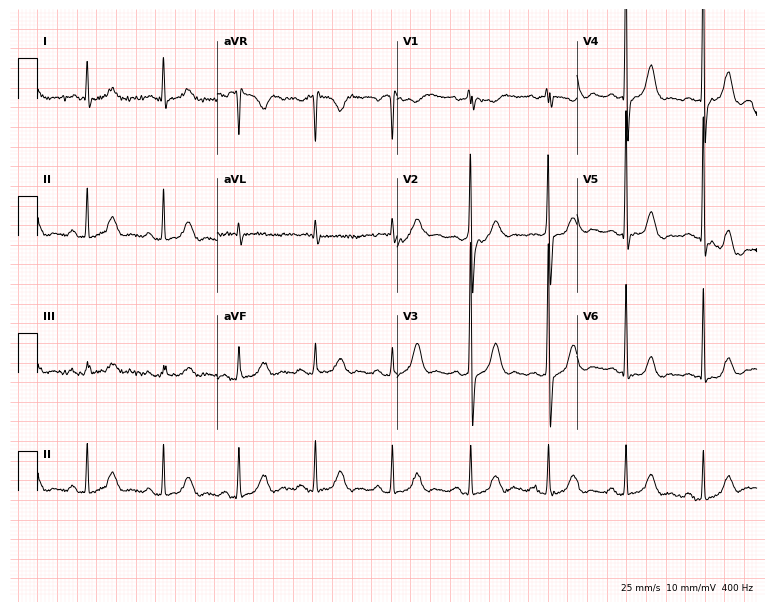
Electrocardiogram (7.3-second recording at 400 Hz), a male patient, 79 years old. Of the six screened findings (first-degree AV block, right bundle branch block, left bundle branch block, sinus bradycardia, atrial fibrillation, sinus tachycardia), none is recorded.